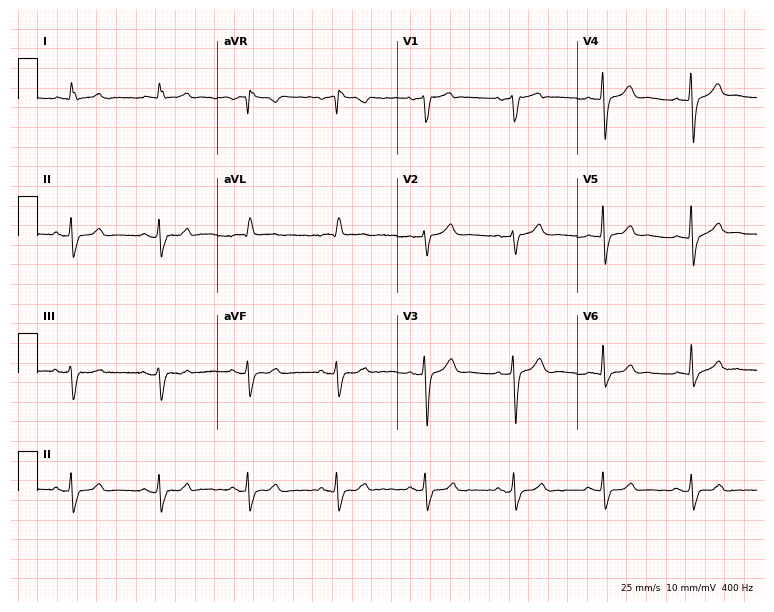
Electrocardiogram, an 83-year-old male. Of the six screened findings (first-degree AV block, right bundle branch block, left bundle branch block, sinus bradycardia, atrial fibrillation, sinus tachycardia), none is recorded. Other findings, if any, are not listed.